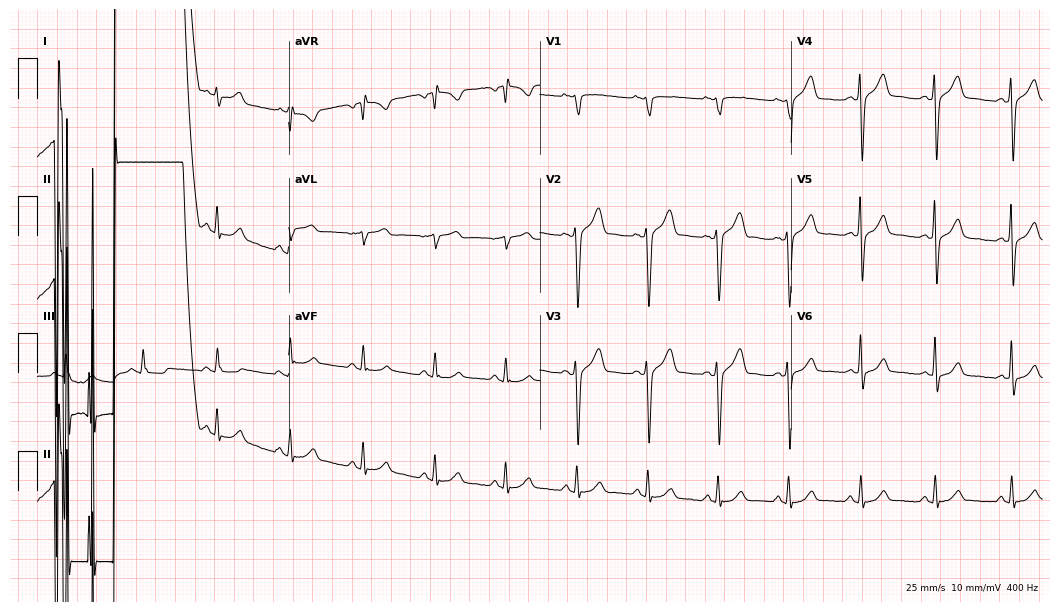
ECG — a male, 50 years old. Screened for six findings — first-degree AV block, right bundle branch block, left bundle branch block, sinus bradycardia, atrial fibrillation, sinus tachycardia — none is recorded. Findings outside these six are not listed.